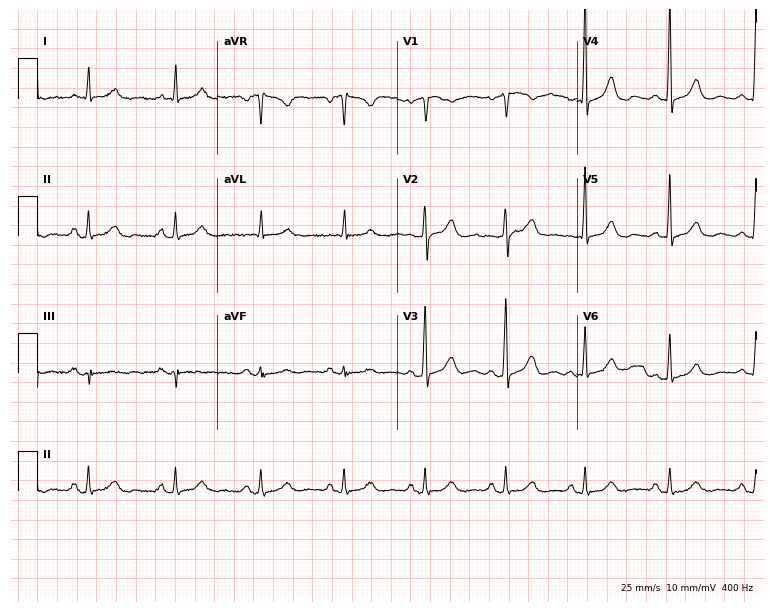
Electrocardiogram (7.3-second recording at 400 Hz), a 61-year-old male patient. Overall reading on record: normal ECG.